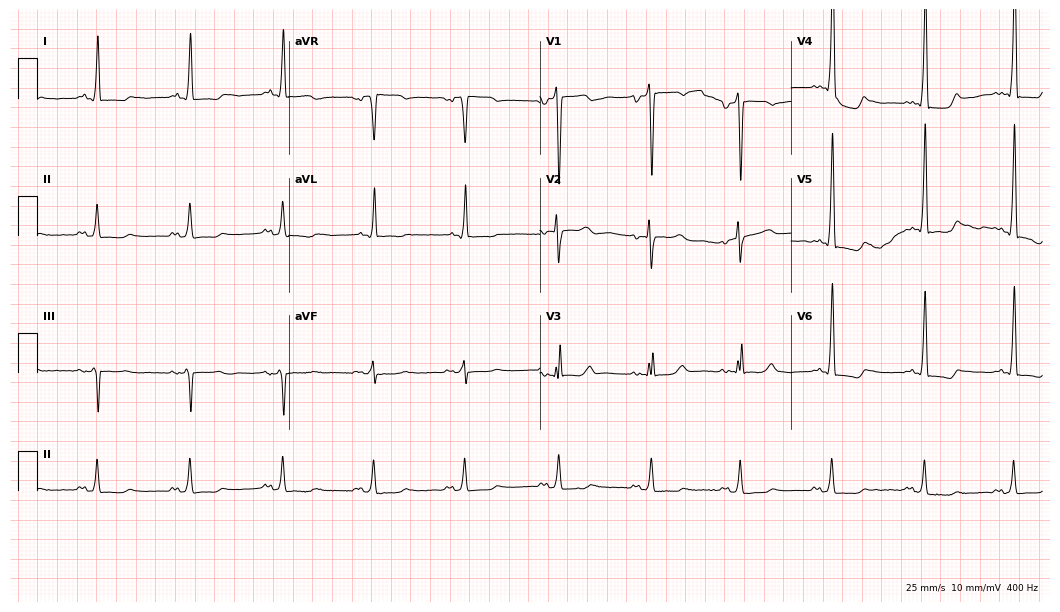
Standard 12-lead ECG recorded from an 82-year-old female. None of these six findings is recorded: first-degree AV block, right bundle branch block, left bundle branch block, sinus bradycardia, atrial fibrillation, sinus tachycardia.